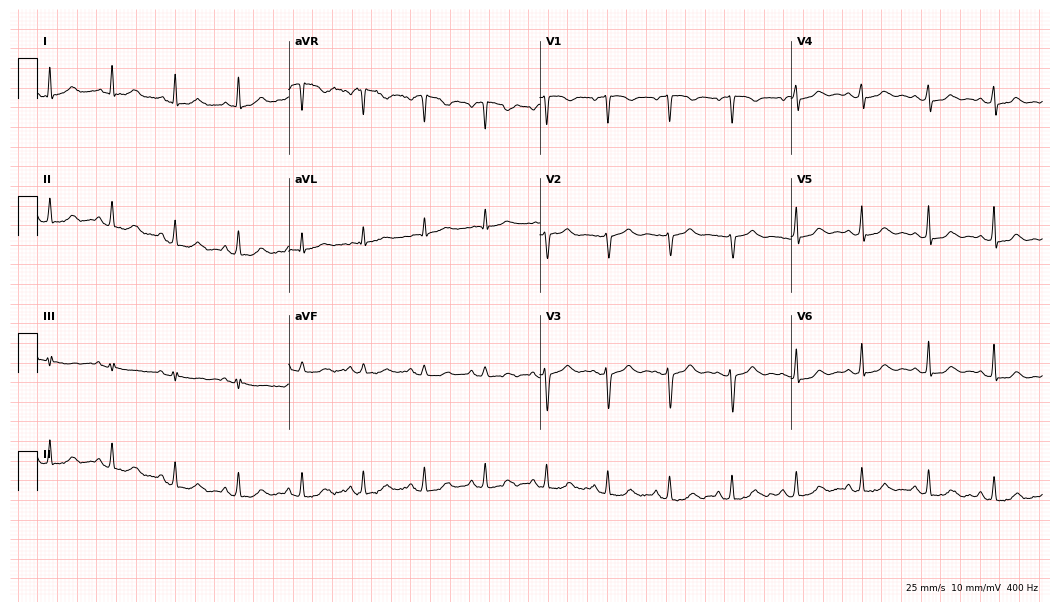
12-lead ECG from a 41-year-old female patient. Recorded interpretation: within normal limits.